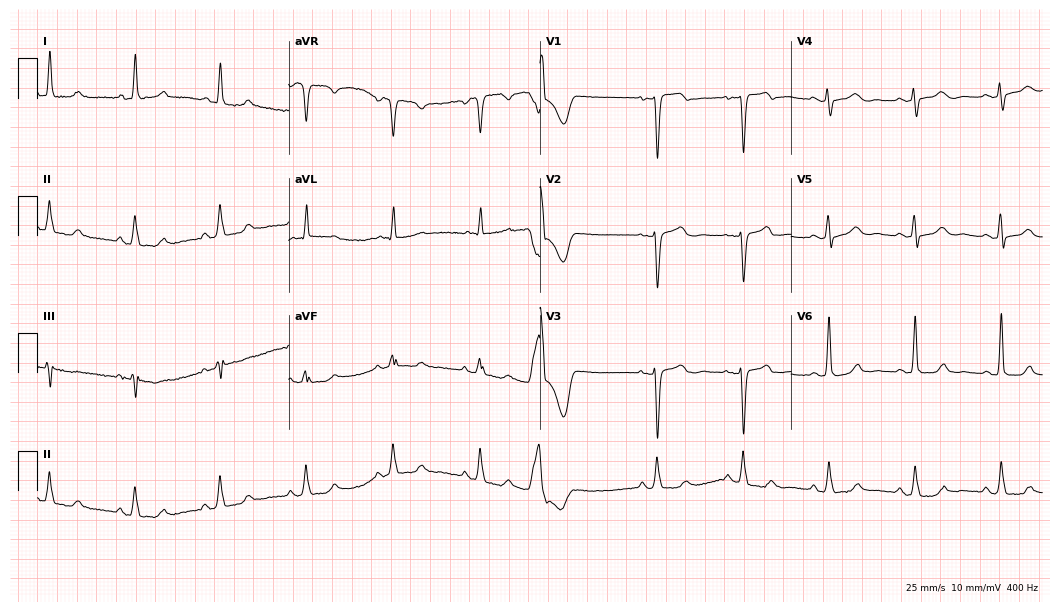
Electrocardiogram, a female, 79 years old. Of the six screened findings (first-degree AV block, right bundle branch block, left bundle branch block, sinus bradycardia, atrial fibrillation, sinus tachycardia), none is recorded. Findings outside these six are not listed.